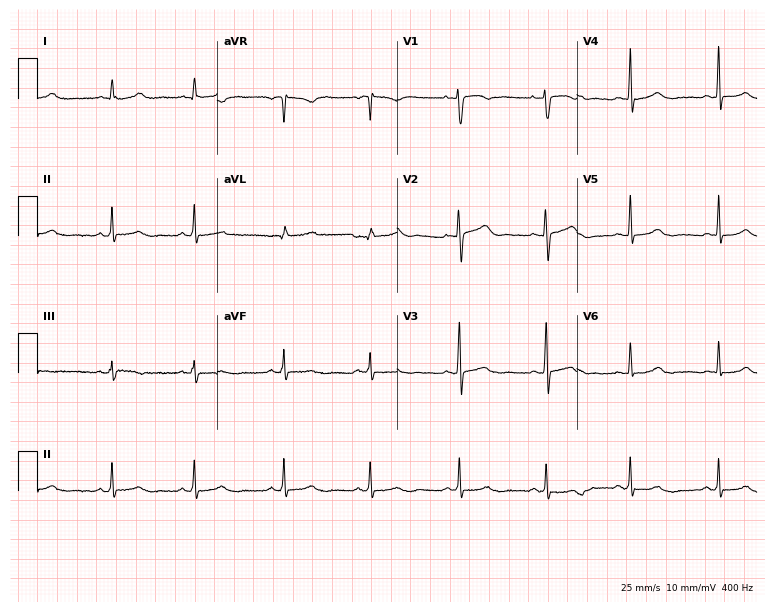
ECG (7.3-second recording at 400 Hz) — a woman, 27 years old. Labelled as a normal ECG.